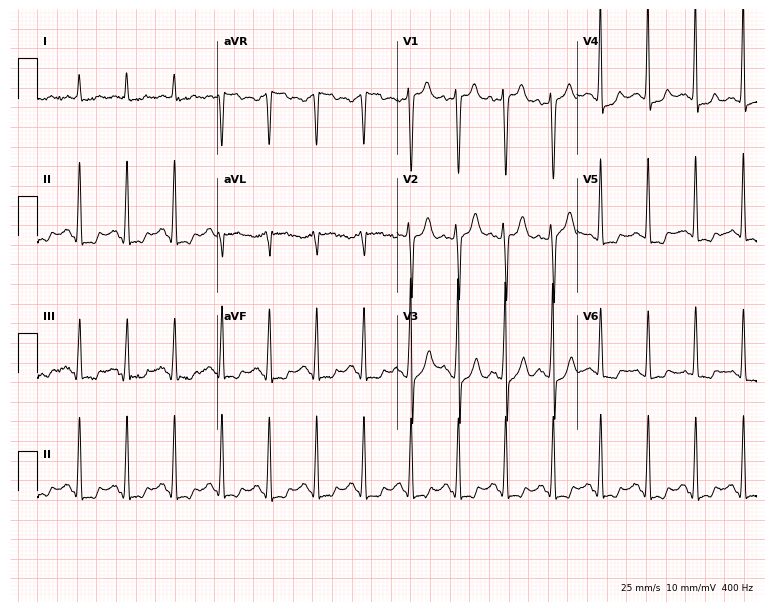
Electrocardiogram, a 62-year-old male. Interpretation includes sinus tachycardia (a sinus rate of 100 beats per minute or more).